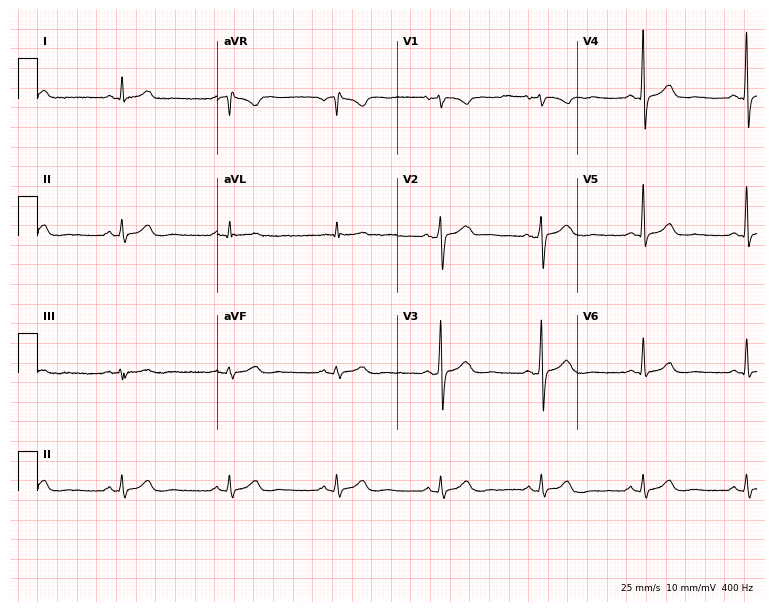
Resting 12-lead electrocardiogram (7.3-second recording at 400 Hz). Patient: a 48-year-old male. None of these six findings is recorded: first-degree AV block, right bundle branch block (RBBB), left bundle branch block (LBBB), sinus bradycardia, atrial fibrillation (AF), sinus tachycardia. Only these six findings were labelled.